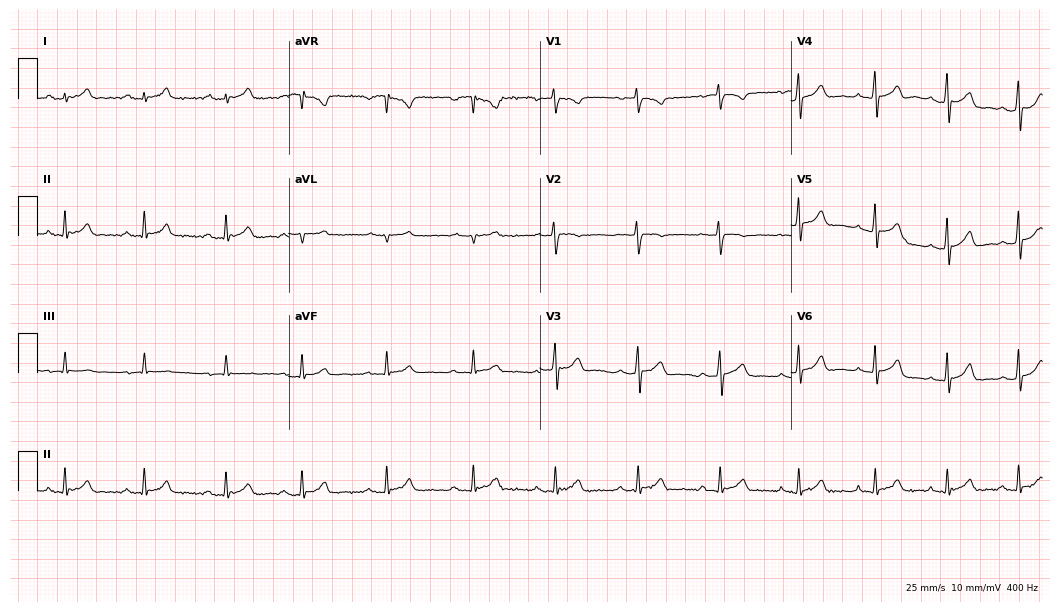
Standard 12-lead ECG recorded from a man, 21 years old. Read as a normal ECG.